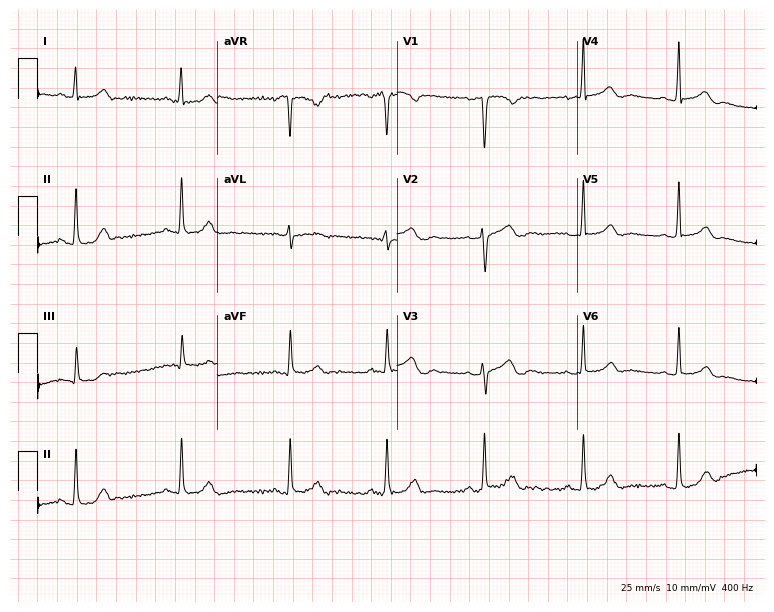
ECG (7.3-second recording at 400 Hz) — a woman, 31 years old. Screened for six findings — first-degree AV block, right bundle branch block, left bundle branch block, sinus bradycardia, atrial fibrillation, sinus tachycardia — none is recorded.